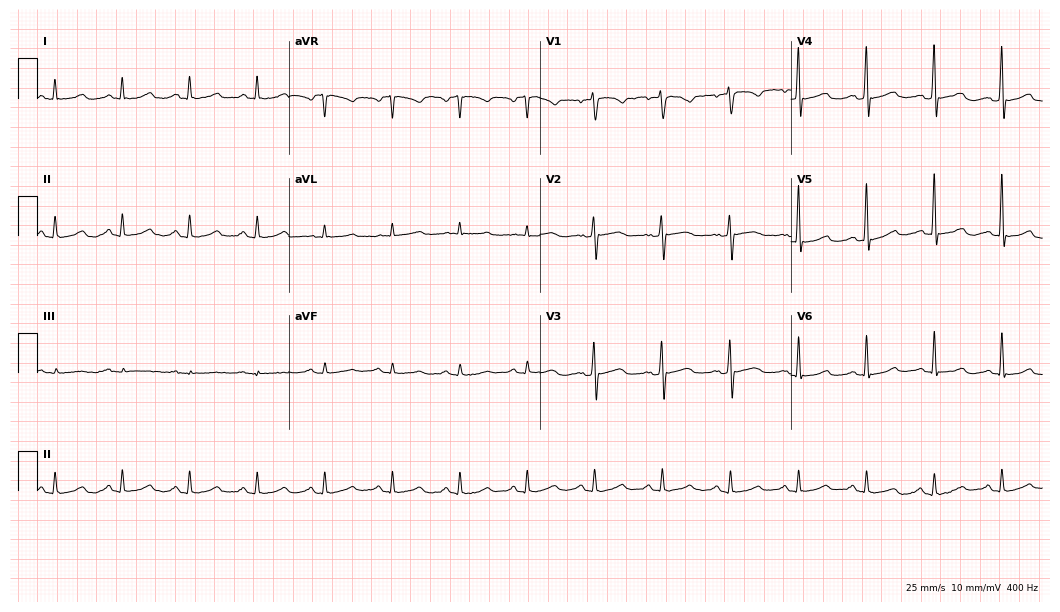
Electrocardiogram (10.2-second recording at 400 Hz), a 57-year-old female patient. Overall reading on record: normal ECG.